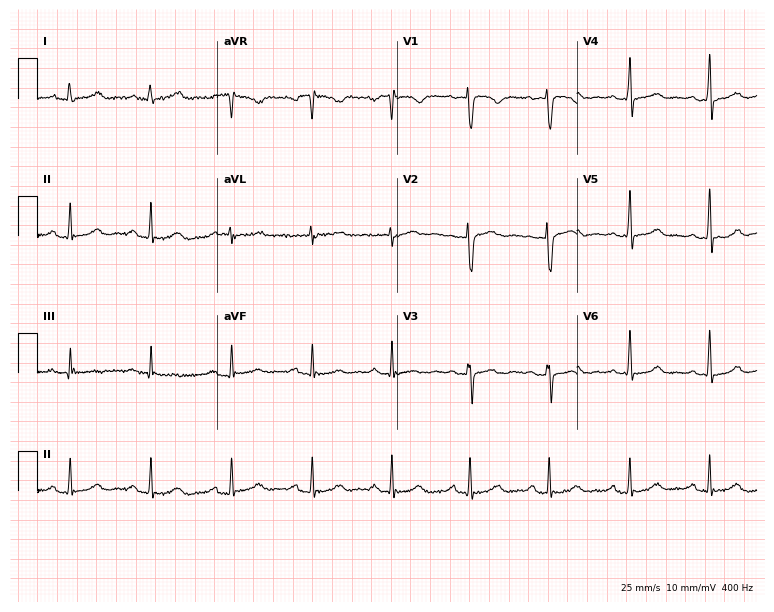
12-lead ECG from a 43-year-old female patient (7.3-second recording at 400 Hz). No first-degree AV block, right bundle branch block, left bundle branch block, sinus bradycardia, atrial fibrillation or sinus tachycardia recorded for this tracing. Findings outside these six are not listed.